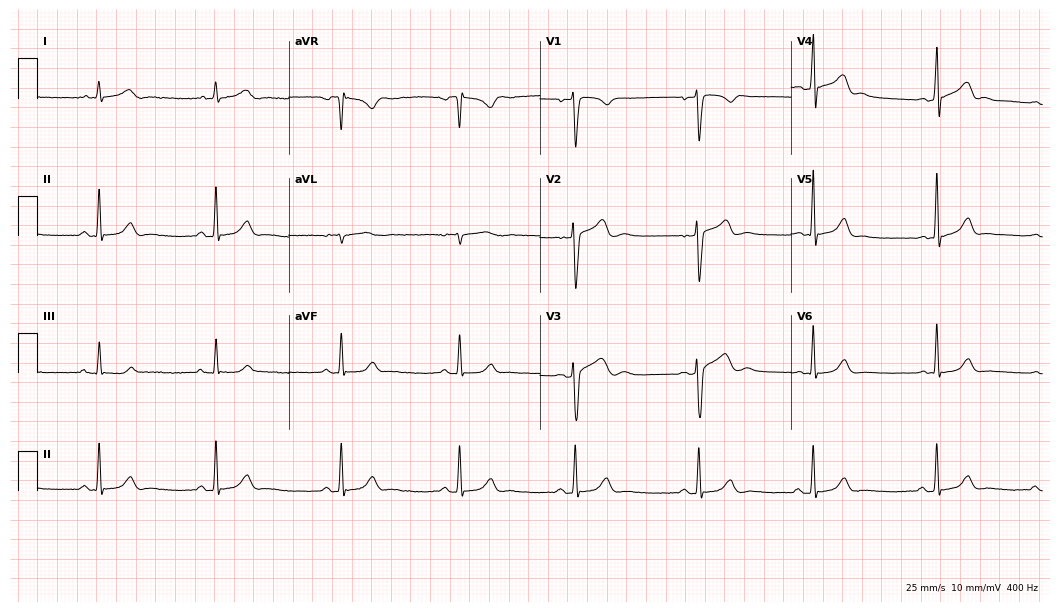
12-lead ECG (10.2-second recording at 400 Hz) from a 28-year-old man. Screened for six findings — first-degree AV block, right bundle branch block (RBBB), left bundle branch block (LBBB), sinus bradycardia, atrial fibrillation (AF), sinus tachycardia — none is recorded. Only these six findings were labelled.